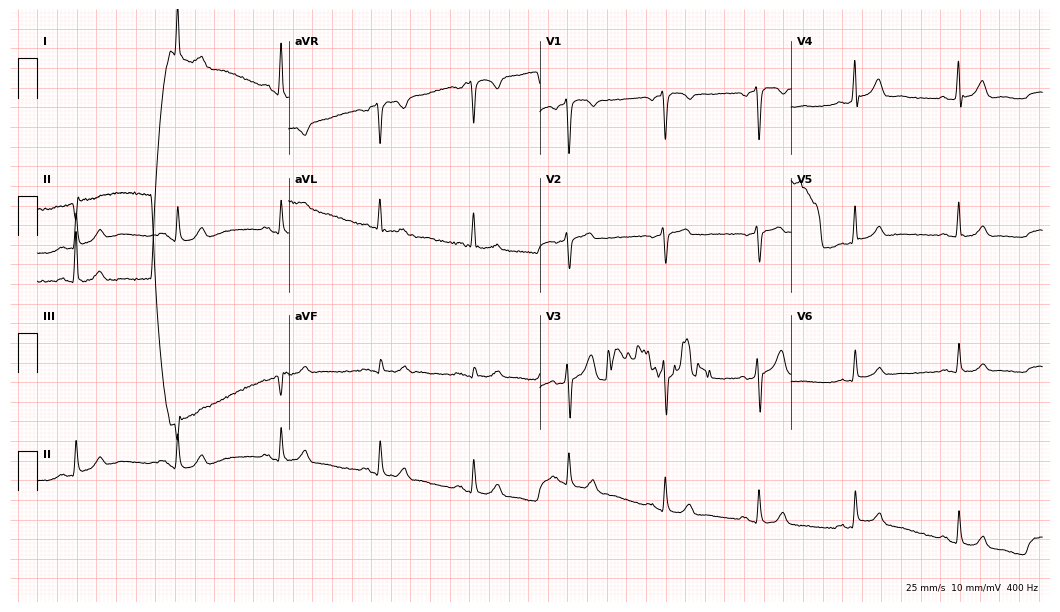
Electrocardiogram, a 48-year-old male. Of the six screened findings (first-degree AV block, right bundle branch block (RBBB), left bundle branch block (LBBB), sinus bradycardia, atrial fibrillation (AF), sinus tachycardia), none is recorded.